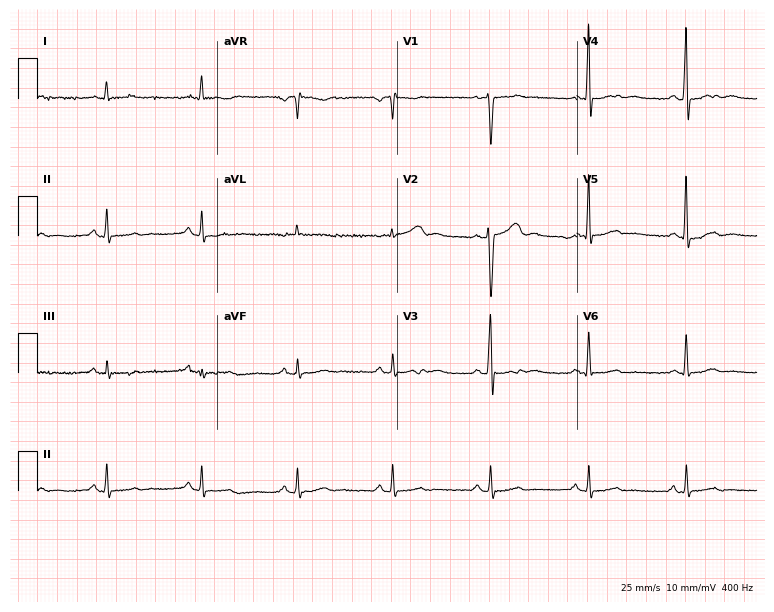
ECG (7.3-second recording at 400 Hz) — a male patient, 56 years old. Screened for six findings — first-degree AV block, right bundle branch block, left bundle branch block, sinus bradycardia, atrial fibrillation, sinus tachycardia — none is recorded. Findings outside these six are not listed.